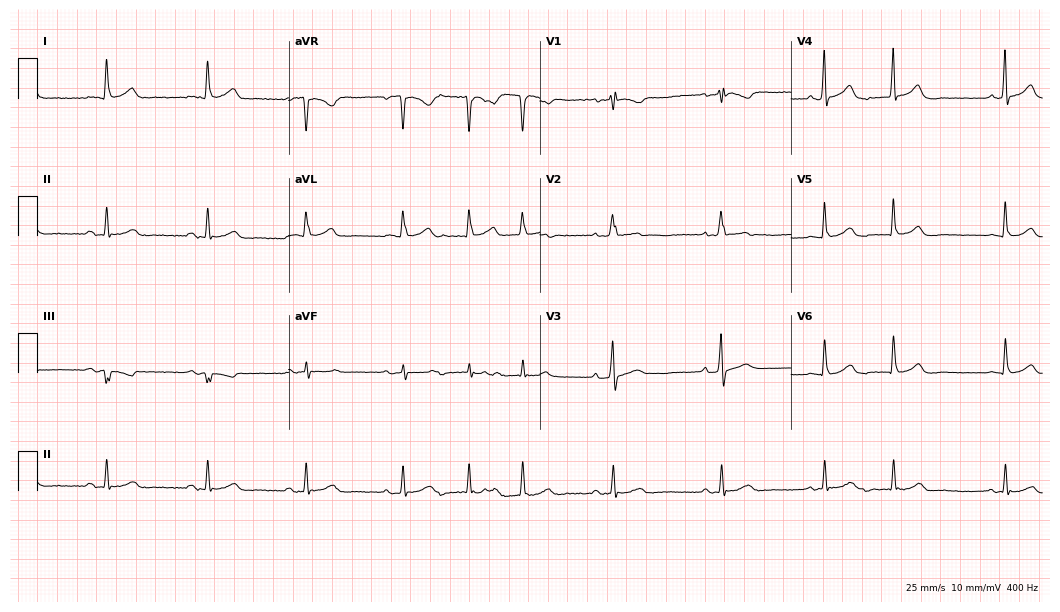
Electrocardiogram, a female patient, 82 years old. Of the six screened findings (first-degree AV block, right bundle branch block, left bundle branch block, sinus bradycardia, atrial fibrillation, sinus tachycardia), none is recorded.